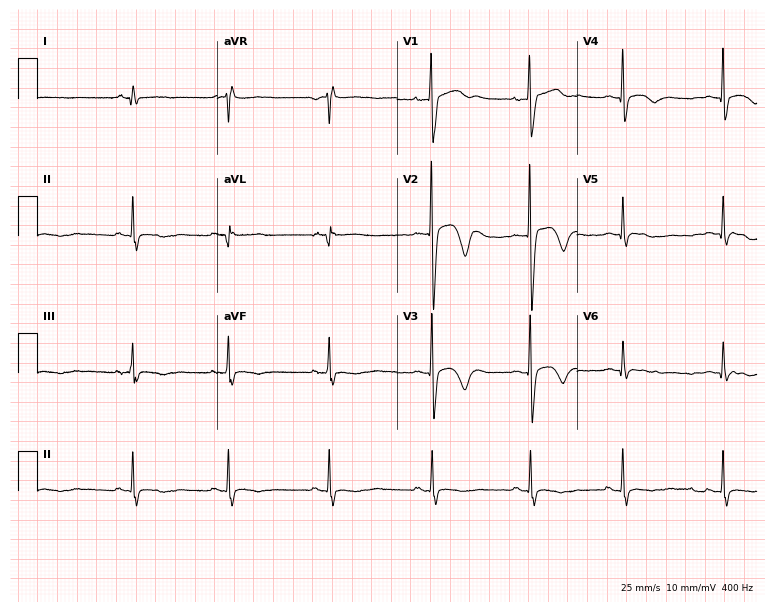
ECG (7.3-second recording at 400 Hz) — a 17-year-old man. Screened for six findings — first-degree AV block, right bundle branch block (RBBB), left bundle branch block (LBBB), sinus bradycardia, atrial fibrillation (AF), sinus tachycardia — none is recorded. Only these six findings were labelled.